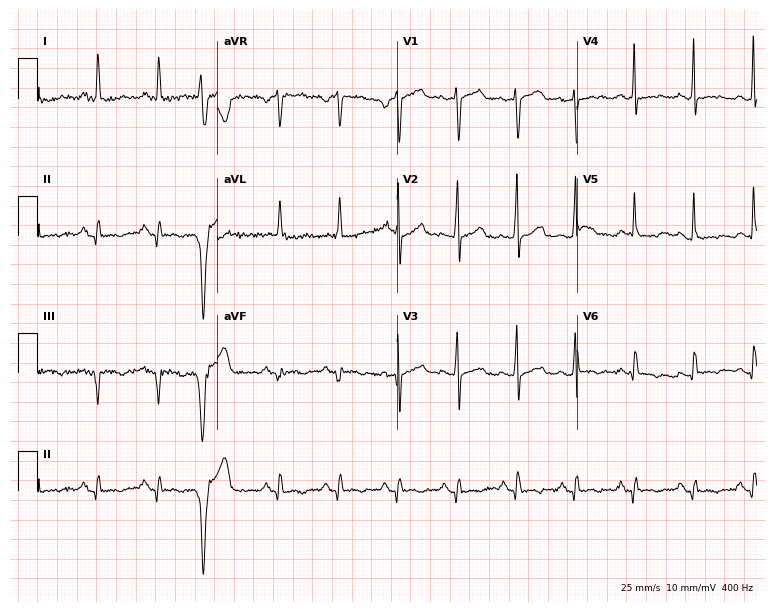
Standard 12-lead ECG recorded from a female, 65 years old. None of these six findings is recorded: first-degree AV block, right bundle branch block, left bundle branch block, sinus bradycardia, atrial fibrillation, sinus tachycardia. Findings outside these six are not listed.